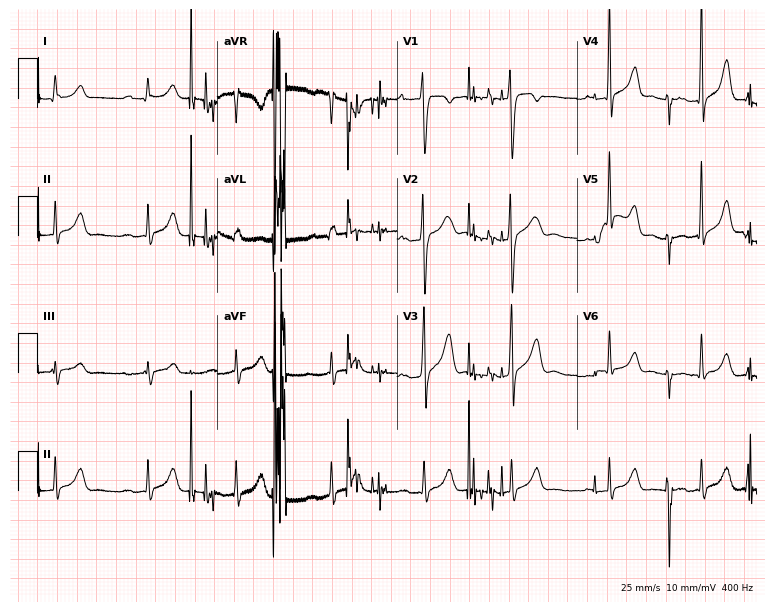
Standard 12-lead ECG recorded from a 26-year-old male patient. None of these six findings is recorded: first-degree AV block, right bundle branch block (RBBB), left bundle branch block (LBBB), sinus bradycardia, atrial fibrillation (AF), sinus tachycardia.